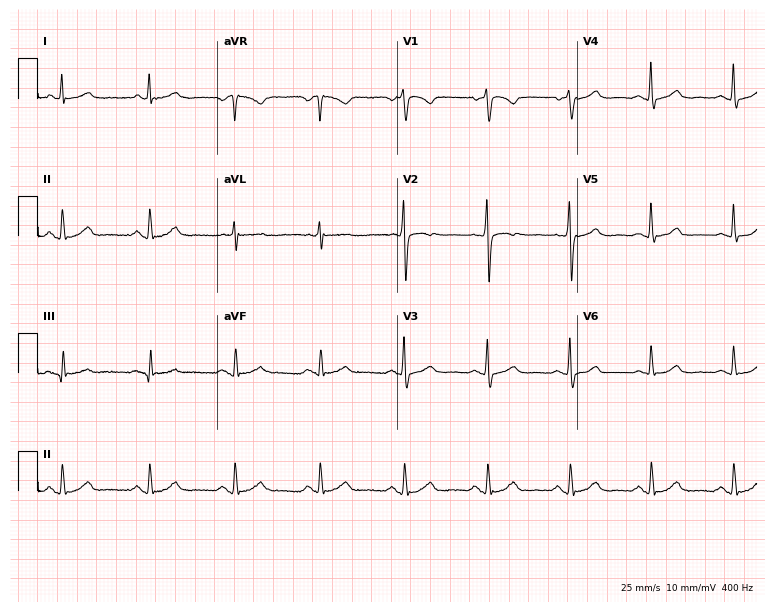
12-lead ECG from a woman, 59 years old (7.3-second recording at 400 Hz). Recorded interpretation: within normal limits.